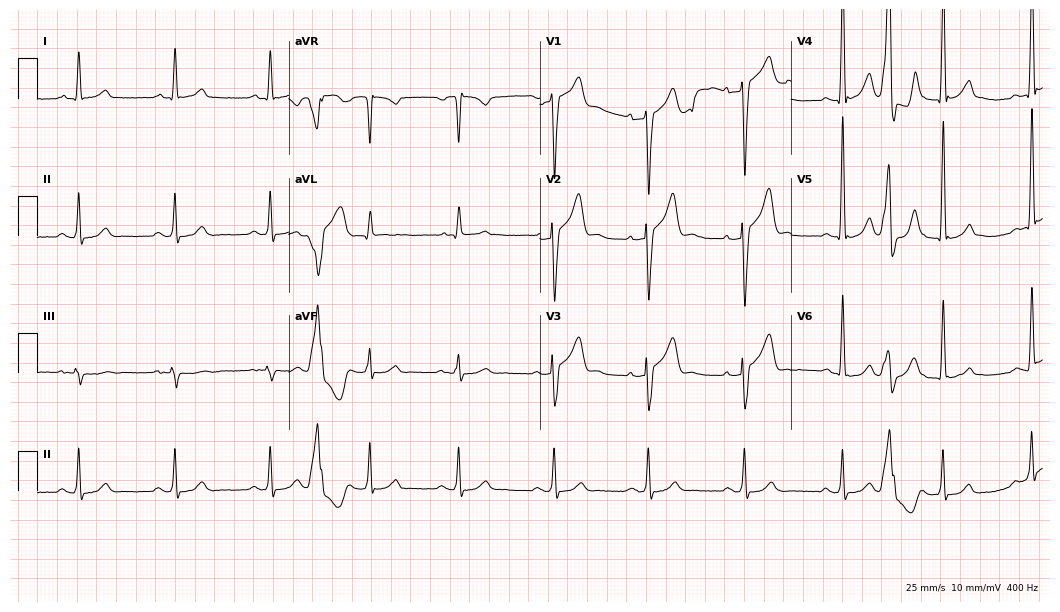
Standard 12-lead ECG recorded from a man, 50 years old. Read as a normal ECG.